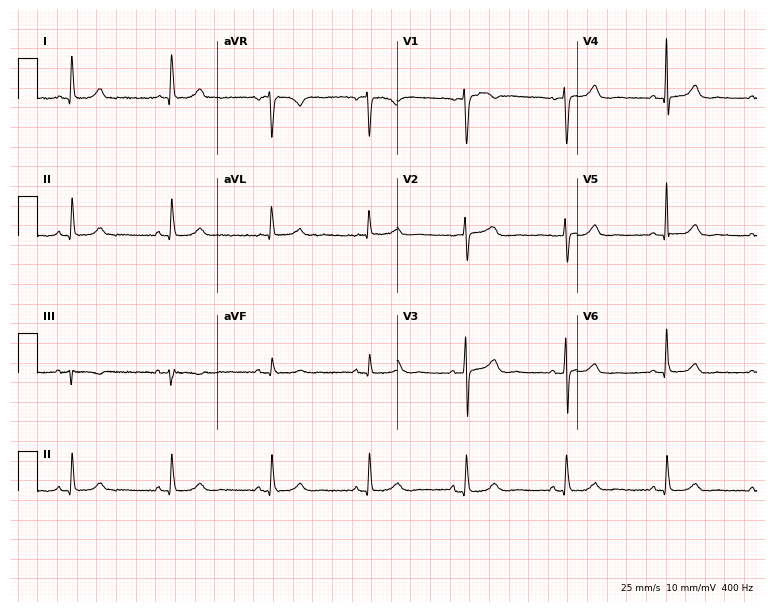
Standard 12-lead ECG recorded from a 66-year-old female patient. Read as a normal ECG.